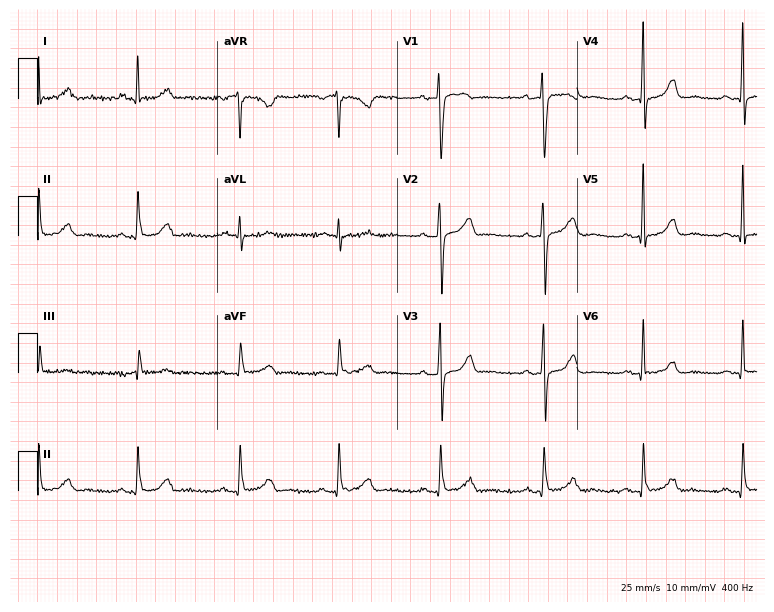
12-lead ECG from a 59-year-old female. No first-degree AV block, right bundle branch block (RBBB), left bundle branch block (LBBB), sinus bradycardia, atrial fibrillation (AF) or sinus tachycardia recorded for this tracing. Only these six findings were labelled.